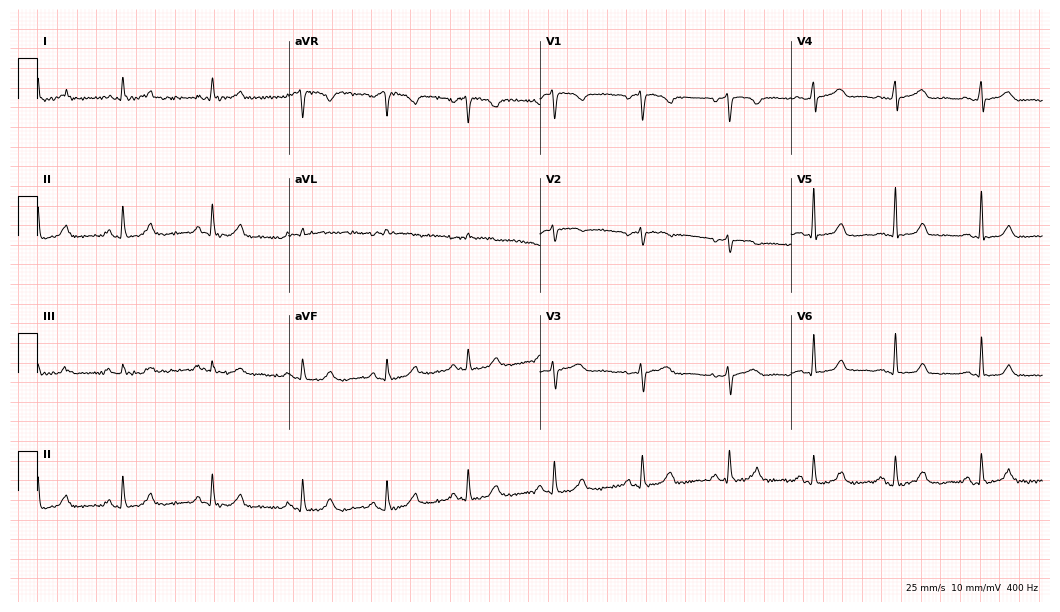
Standard 12-lead ECG recorded from a 46-year-old female patient. Read as a normal ECG.